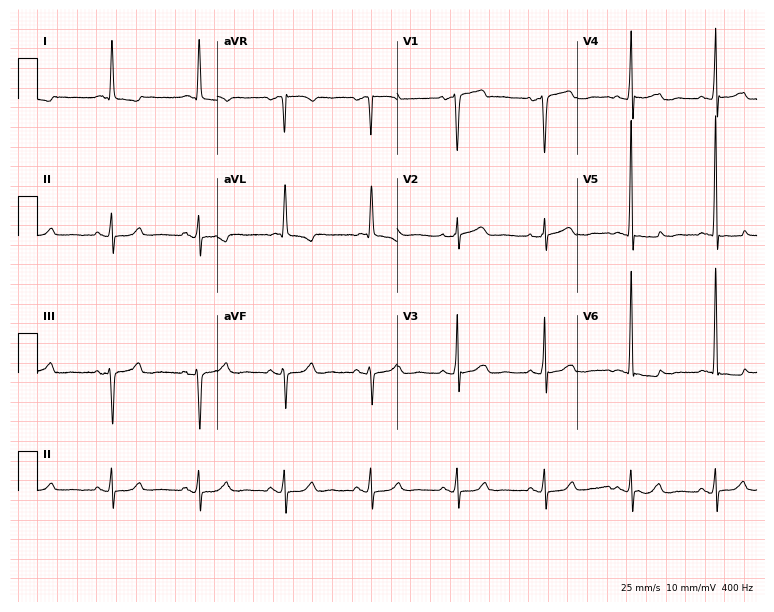
Resting 12-lead electrocardiogram. Patient: a woman, 62 years old. None of these six findings is recorded: first-degree AV block, right bundle branch block, left bundle branch block, sinus bradycardia, atrial fibrillation, sinus tachycardia.